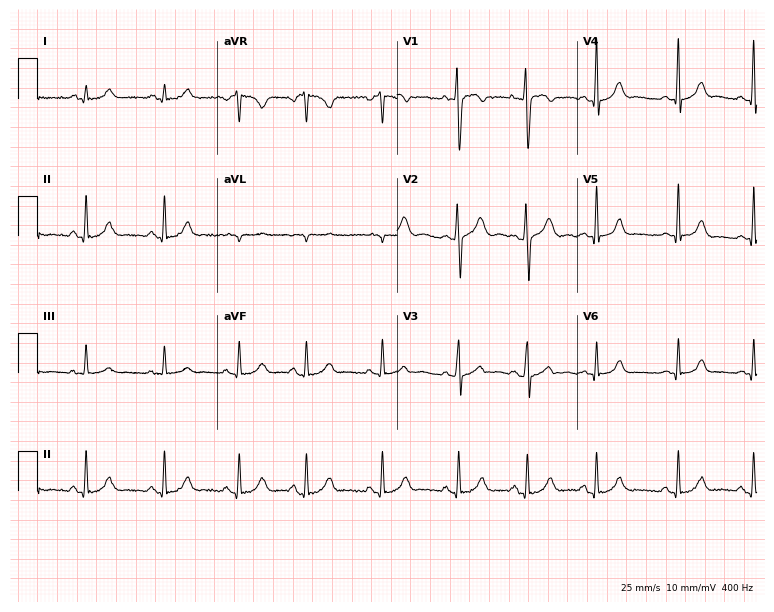
Electrocardiogram (7.3-second recording at 400 Hz), a female, 22 years old. Of the six screened findings (first-degree AV block, right bundle branch block, left bundle branch block, sinus bradycardia, atrial fibrillation, sinus tachycardia), none is recorded.